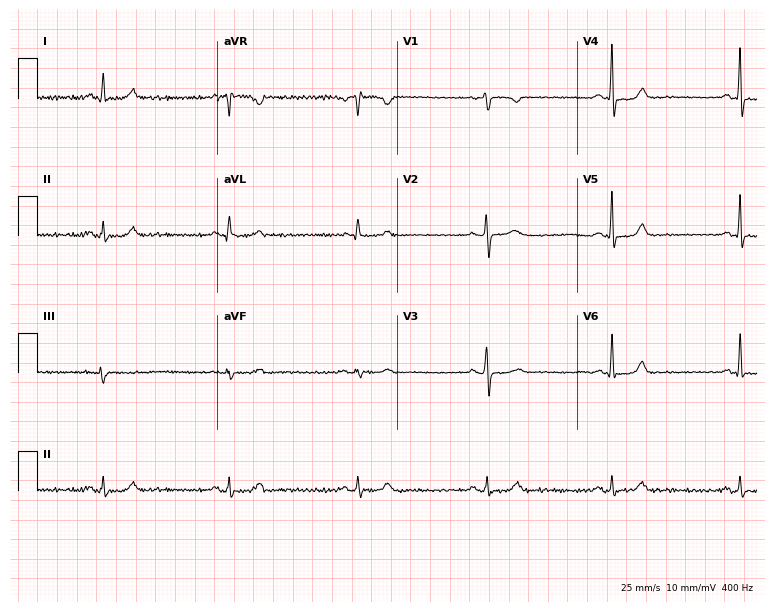
ECG — a woman, 59 years old. Findings include sinus bradycardia (a sinus rate of 50 beats per minute or less).